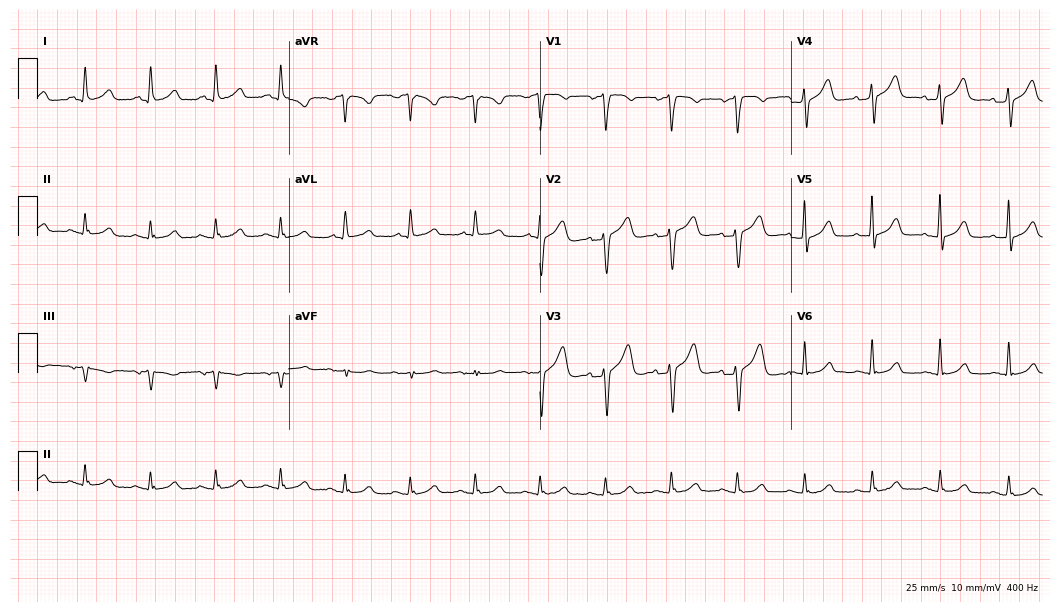
Standard 12-lead ECG recorded from a female, 73 years old (10.2-second recording at 400 Hz). None of these six findings is recorded: first-degree AV block, right bundle branch block, left bundle branch block, sinus bradycardia, atrial fibrillation, sinus tachycardia.